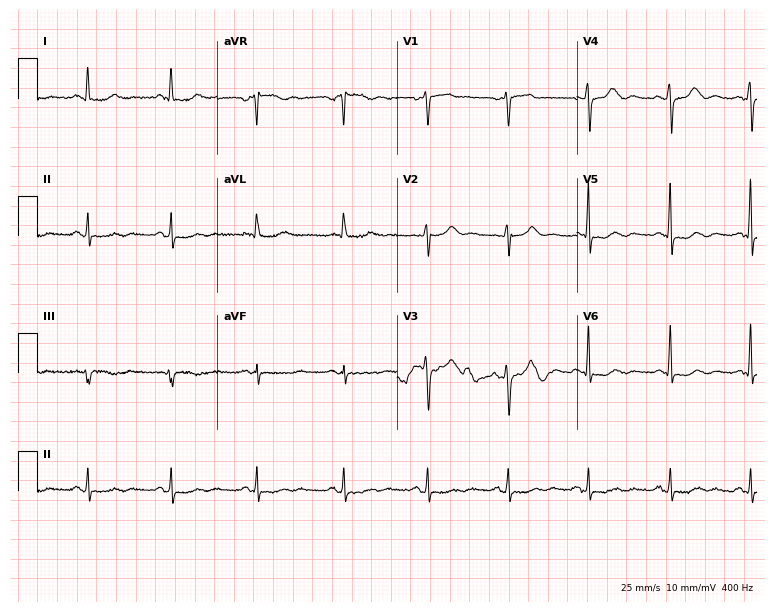
Electrocardiogram (7.3-second recording at 400 Hz), a 57-year-old female patient. Of the six screened findings (first-degree AV block, right bundle branch block, left bundle branch block, sinus bradycardia, atrial fibrillation, sinus tachycardia), none is recorded. Findings outside these six are not listed.